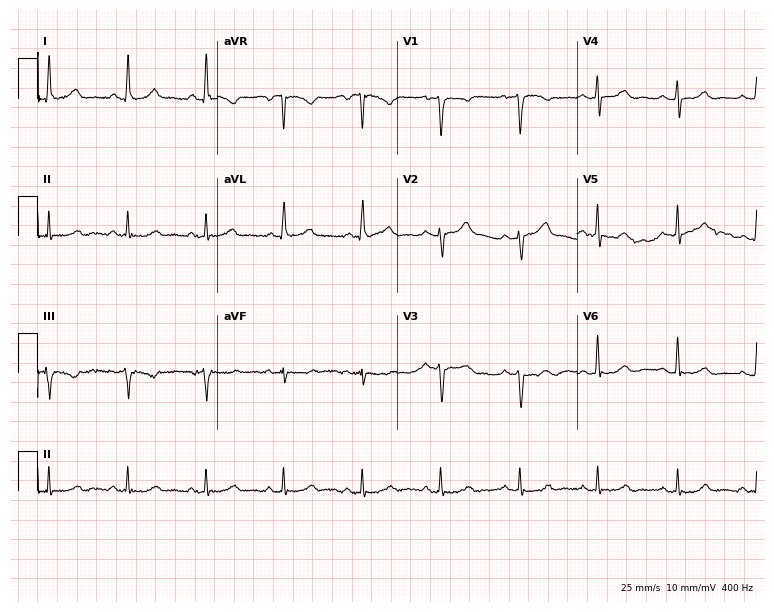
Standard 12-lead ECG recorded from a 39-year-old woman. None of these six findings is recorded: first-degree AV block, right bundle branch block, left bundle branch block, sinus bradycardia, atrial fibrillation, sinus tachycardia.